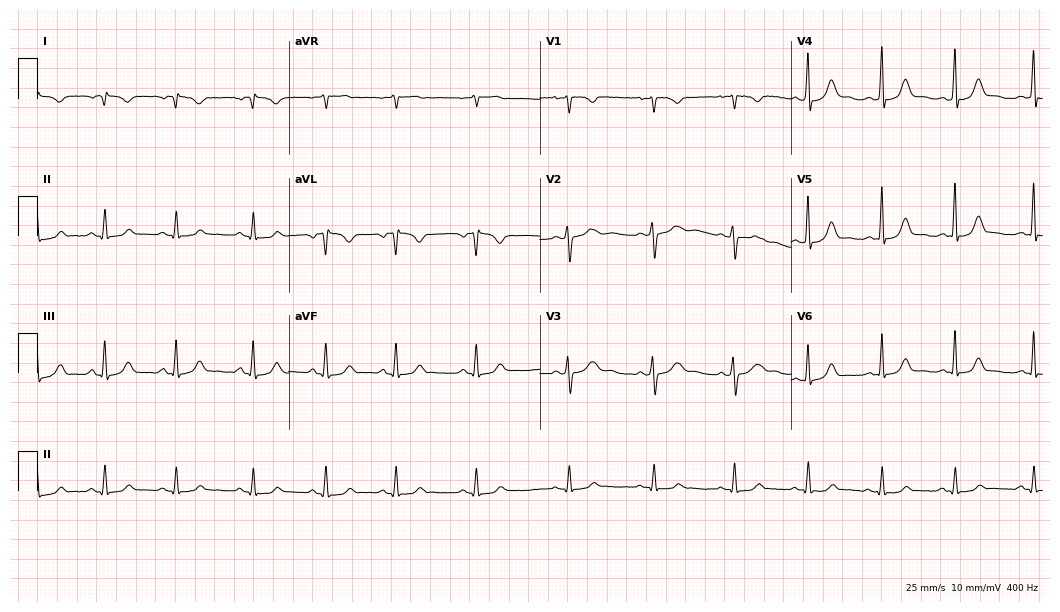
Standard 12-lead ECG recorded from a female, 27 years old (10.2-second recording at 400 Hz). None of these six findings is recorded: first-degree AV block, right bundle branch block (RBBB), left bundle branch block (LBBB), sinus bradycardia, atrial fibrillation (AF), sinus tachycardia. Findings outside these six are not listed.